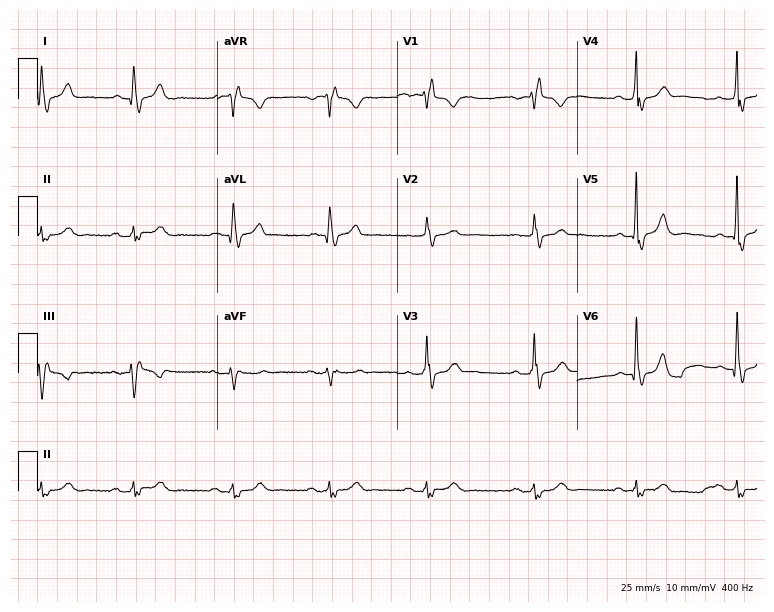
Resting 12-lead electrocardiogram (7.3-second recording at 400 Hz). Patient: a 65-year-old male. The tracing shows right bundle branch block (RBBB).